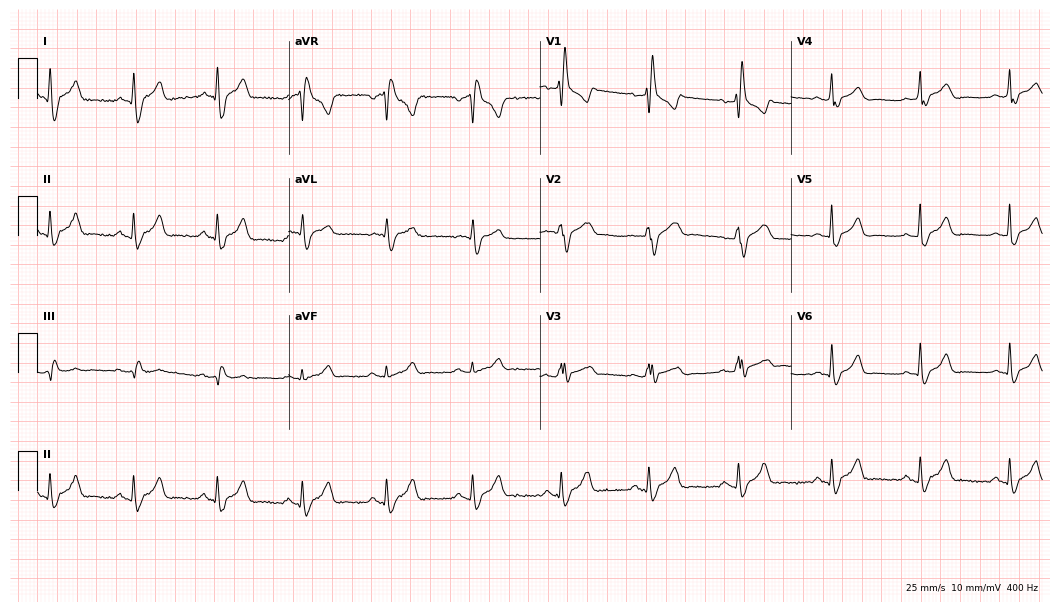
Resting 12-lead electrocardiogram. Patient: a man, 41 years old. None of these six findings is recorded: first-degree AV block, right bundle branch block, left bundle branch block, sinus bradycardia, atrial fibrillation, sinus tachycardia. Other findings, if any, are not listed.